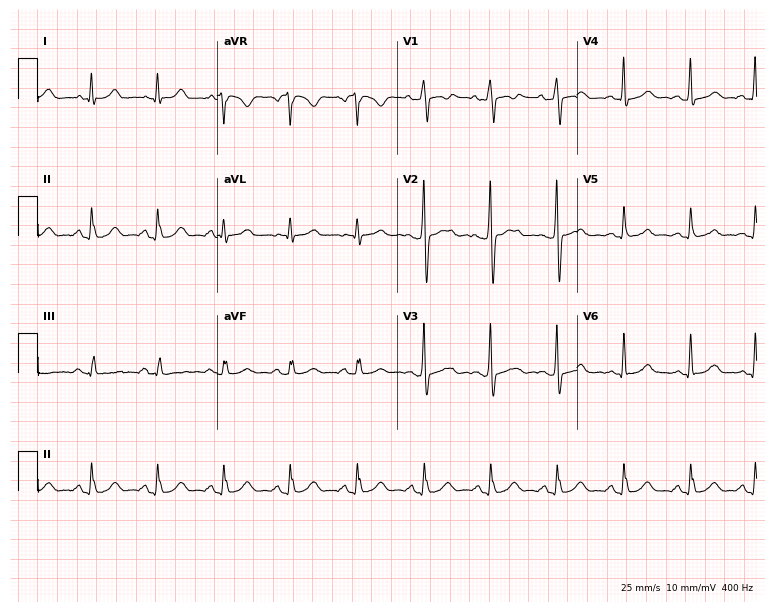
12-lead ECG from a man, 17 years old. Labelled as a normal ECG.